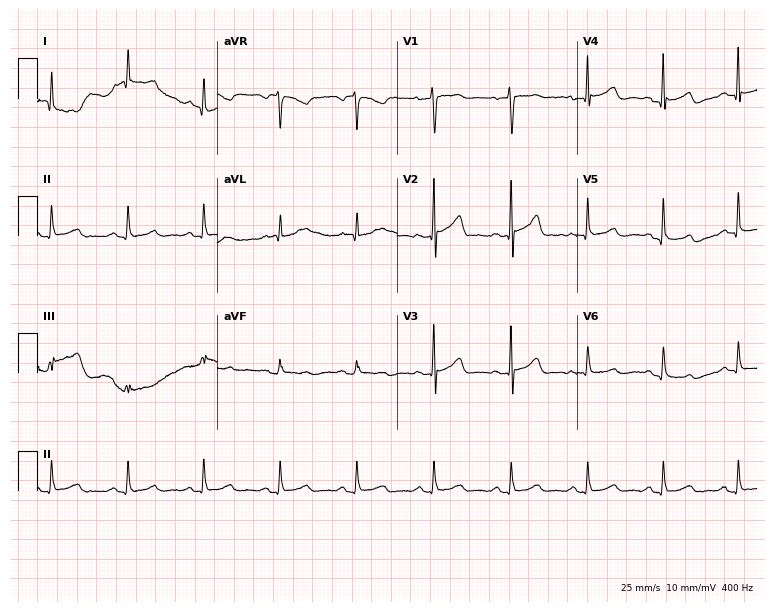
Electrocardiogram, a 70-year-old woman. Of the six screened findings (first-degree AV block, right bundle branch block (RBBB), left bundle branch block (LBBB), sinus bradycardia, atrial fibrillation (AF), sinus tachycardia), none is recorded. Findings outside these six are not listed.